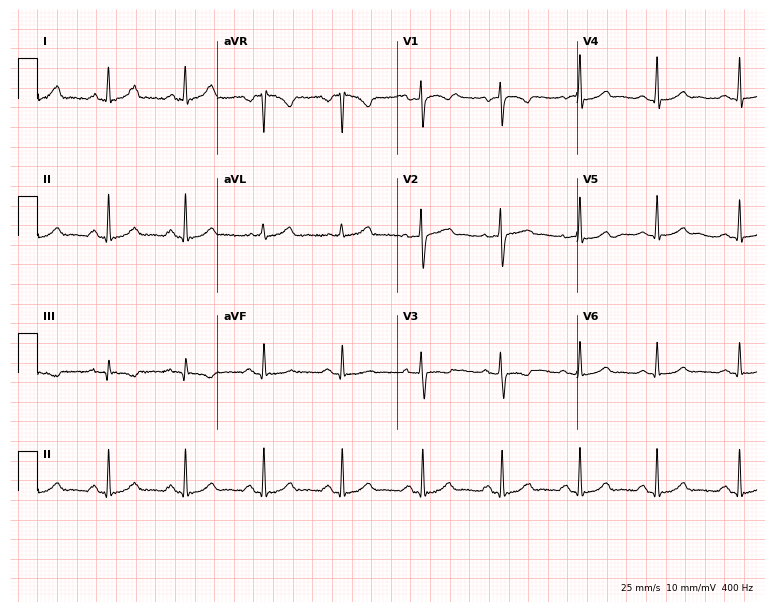
ECG — a female patient, 42 years old. Labelled as a normal ECG.